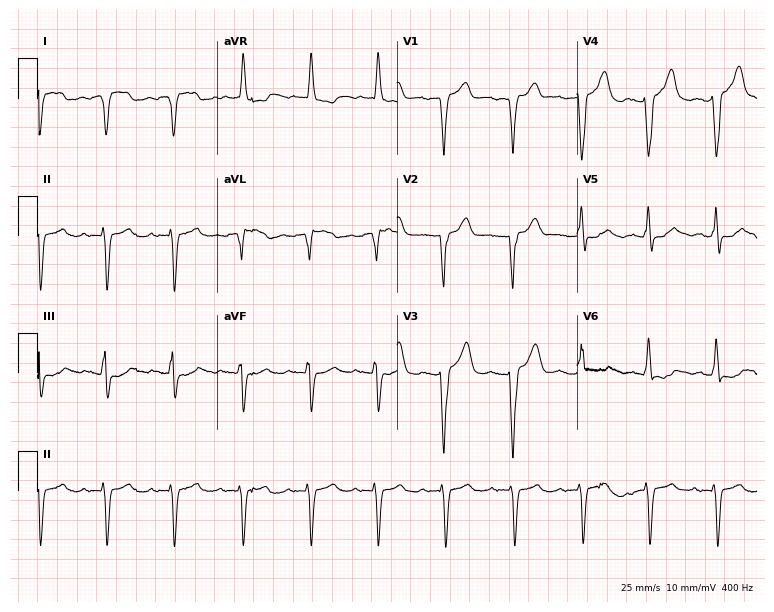
ECG — a 69-year-old man. Screened for six findings — first-degree AV block, right bundle branch block (RBBB), left bundle branch block (LBBB), sinus bradycardia, atrial fibrillation (AF), sinus tachycardia — none is recorded. Only these six findings were labelled.